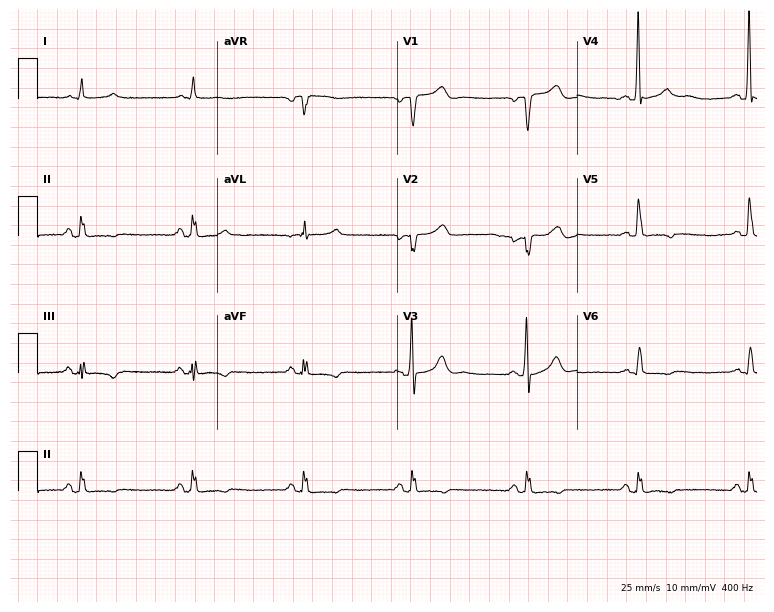
Standard 12-lead ECG recorded from a man, 56 years old (7.3-second recording at 400 Hz). Read as a normal ECG.